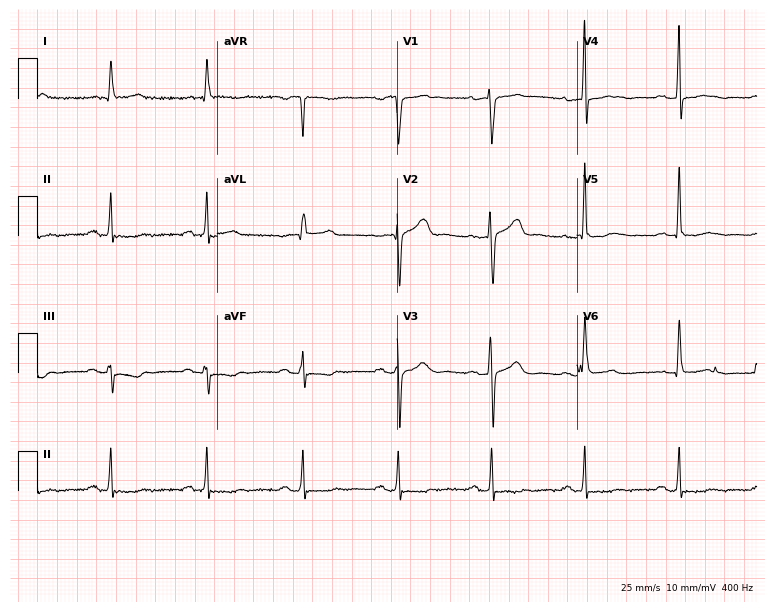
Standard 12-lead ECG recorded from an 83-year-old male. Read as a normal ECG.